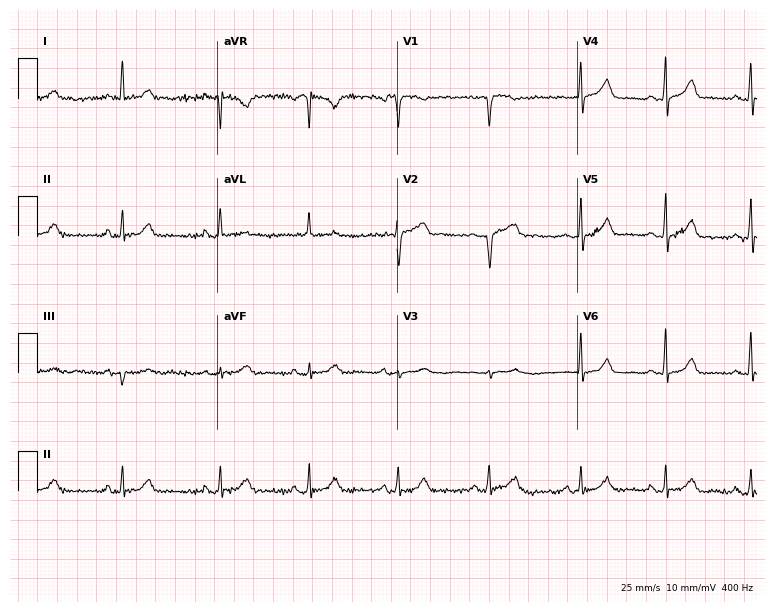
Standard 12-lead ECG recorded from a female, 57 years old (7.3-second recording at 400 Hz). None of these six findings is recorded: first-degree AV block, right bundle branch block (RBBB), left bundle branch block (LBBB), sinus bradycardia, atrial fibrillation (AF), sinus tachycardia.